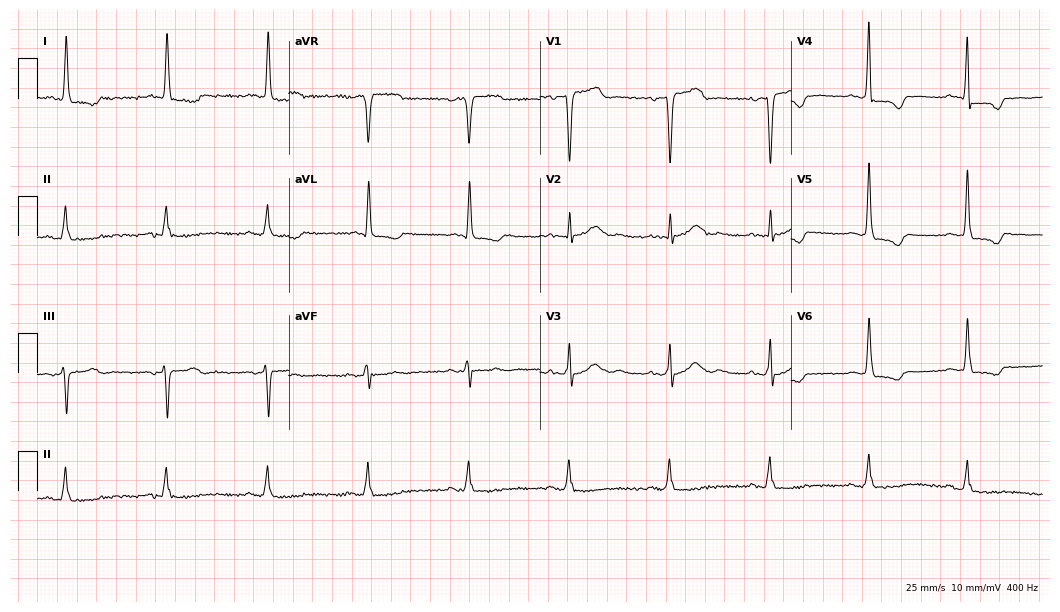
Resting 12-lead electrocardiogram. Patient: a female, 69 years old. None of these six findings is recorded: first-degree AV block, right bundle branch block, left bundle branch block, sinus bradycardia, atrial fibrillation, sinus tachycardia. Findings outside these six are not listed.